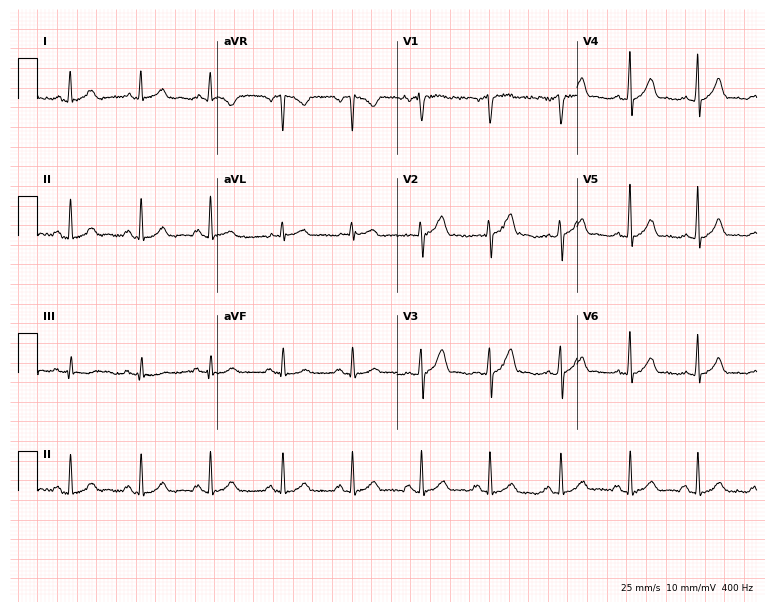
Electrocardiogram (7.3-second recording at 400 Hz), a 40-year-old man. Overall reading on record: normal ECG.